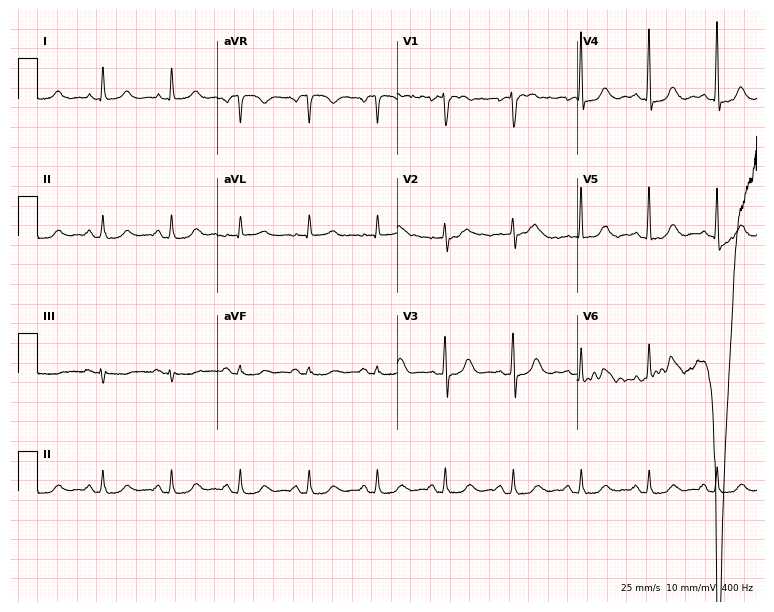
Standard 12-lead ECG recorded from a 79-year-old female patient. None of these six findings is recorded: first-degree AV block, right bundle branch block, left bundle branch block, sinus bradycardia, atrial fibrillation, sinus tachycardia.